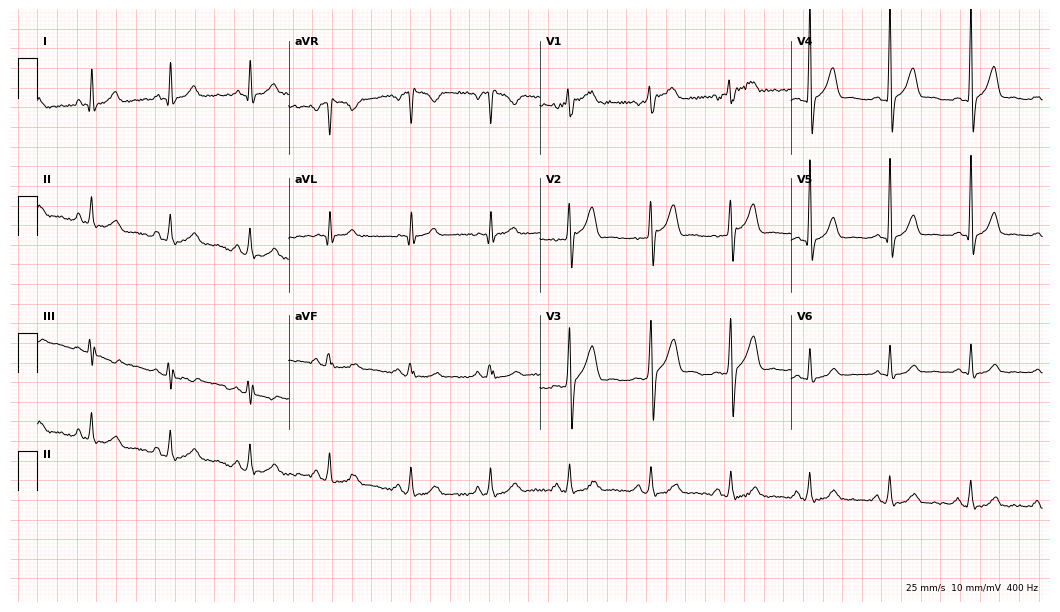
12-lead ECG from a 46-year-old male patient. Screened for six findings — first-degree AV block, right bundle branch block, left bundle branch block, sinus bradycardia, atrial fibrillation, sinus tachycardia — none is recorded. Only these six findings were labelled.